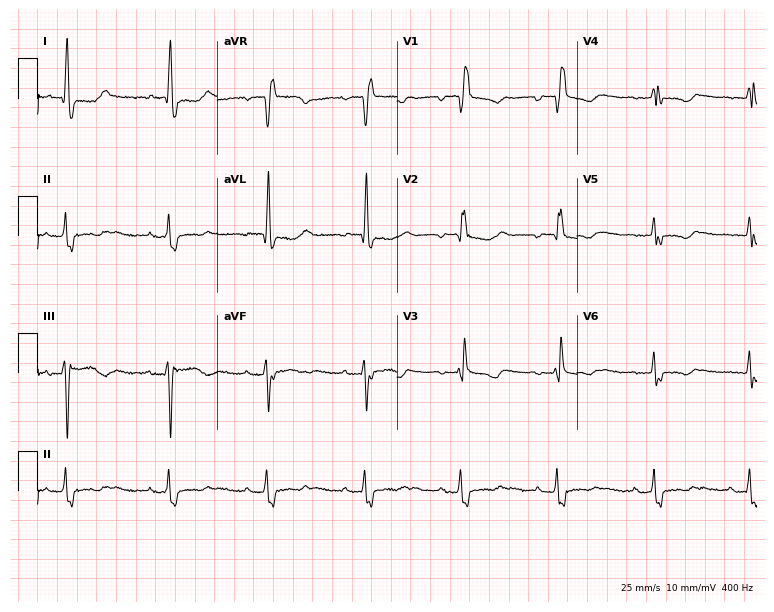
Electrocardiogram, a 49-year-old woman. Of the six screened findings (first-degree AV block, right bundle branch block, left bundle branch block, sinus bradycardia, atrial fibrillation, sinus tachycardia), none is recorded.